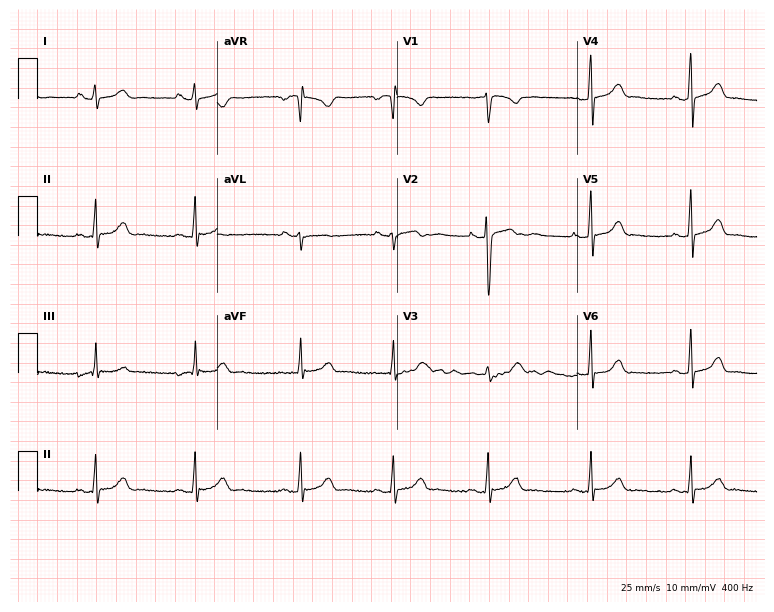
ECG — a 21-year-old female patient. Screened for six findings — first-degree AV block, right bundle branch block (RBBB), left bundle branch block (LBBB), sinus bradycardia, atrial fibrillation (AF), sinus tachycardia — none is recorded.